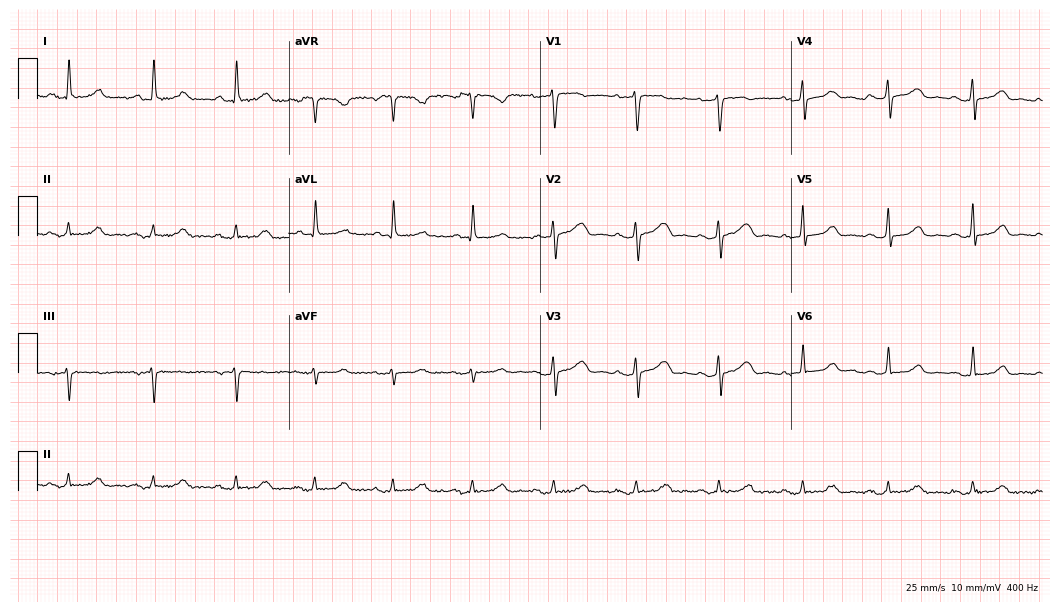
12-lead ECG from a female patient, 65 years old (10.2-second recording at 400 Hz). No first-degree AV block, right bundle branch block, left bundle branch block, sinus bradycardia, atrial fibrillation or sinus tachycardia recorded for this tracing.